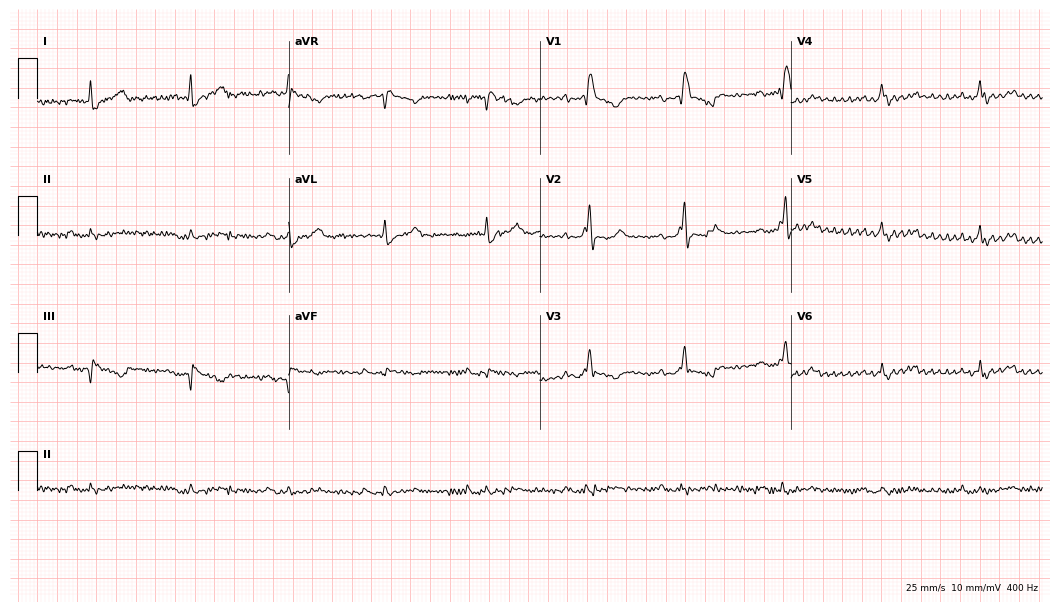
12-lead ECG (10.2-second recording at 400 Hz) from an 80-year-old man. Screened for six findings — first-degree AV block, right bundle branch block, left bundle branch block, sinus bradycardia, atrial fibrillation, sinus tachycardia — none is recorded.